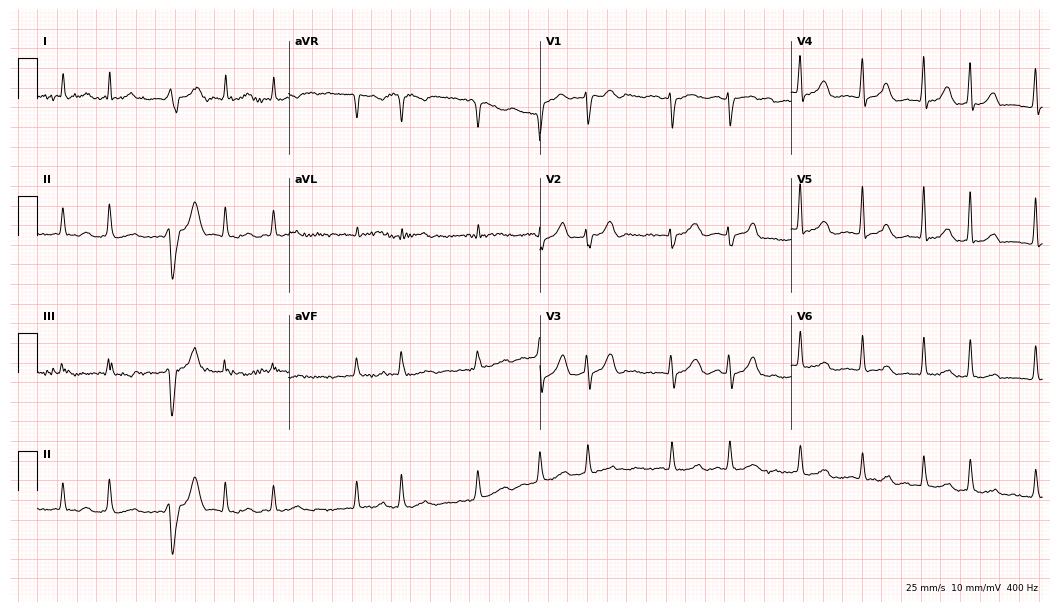
Standard 12-lead ECG recorded from a female patient, 76 years old. The tracing shows atrial fibrillation.